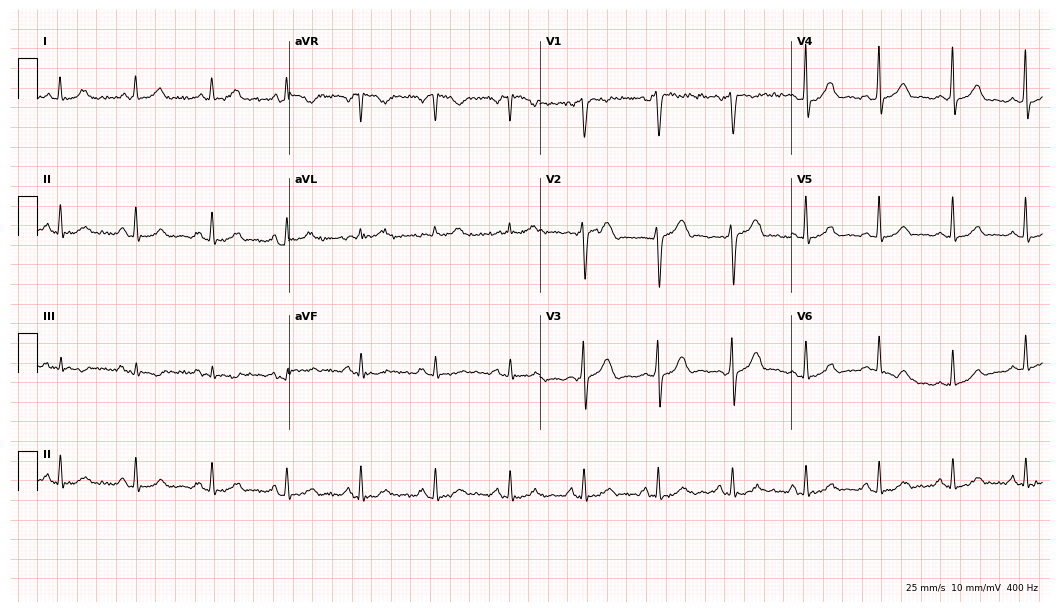
Electrocardiogram (10.2-second recording at 400 Hz), a 46-year-old male patient. Of the six screened findings (first-degree AV block, right bundle branch block, left bundle branch block, sinus bradycardia, atrial fibrillation, sinus tachycardia), none is recorded.